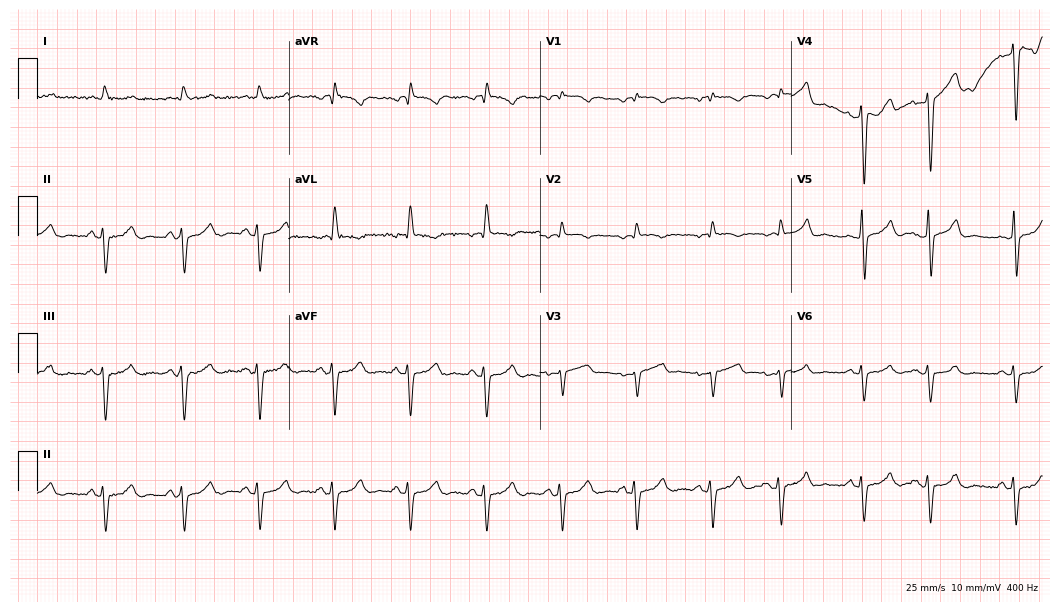
Resting 12-lead electrocardiogram. Patient: a man, 83 years old. None of these six findings is recorded: first-degree AV block, right bundle branch block (RBBB), left bundle branch block (LBBB), sinus bradycardia, atrial fibrillation (AF), sinus tachycardia.